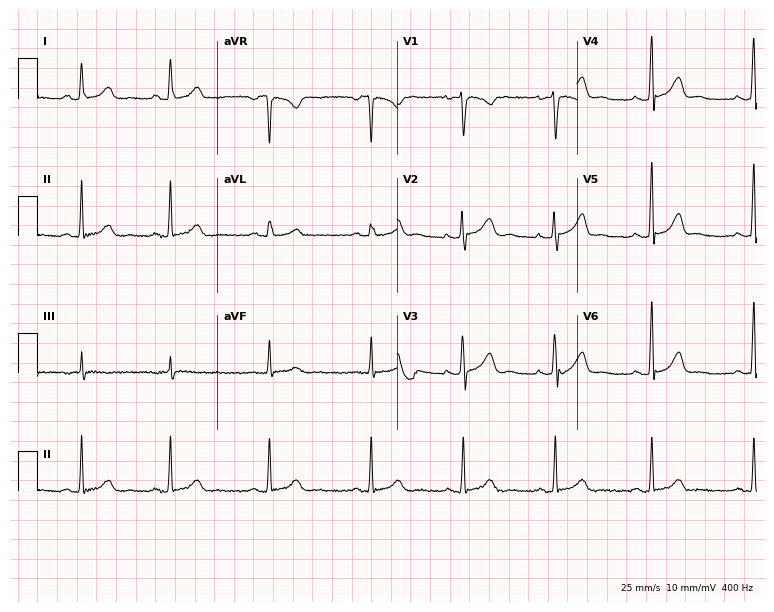
ECG (7.3-second recording at 400 Hz) — a woman, 30 years old. Screened for six findings — first-degree AV block, right bundle branch block, left bundle branch block, sinus bradycardia, atrial fibrillation, sinus tachycardia — none is recorded.